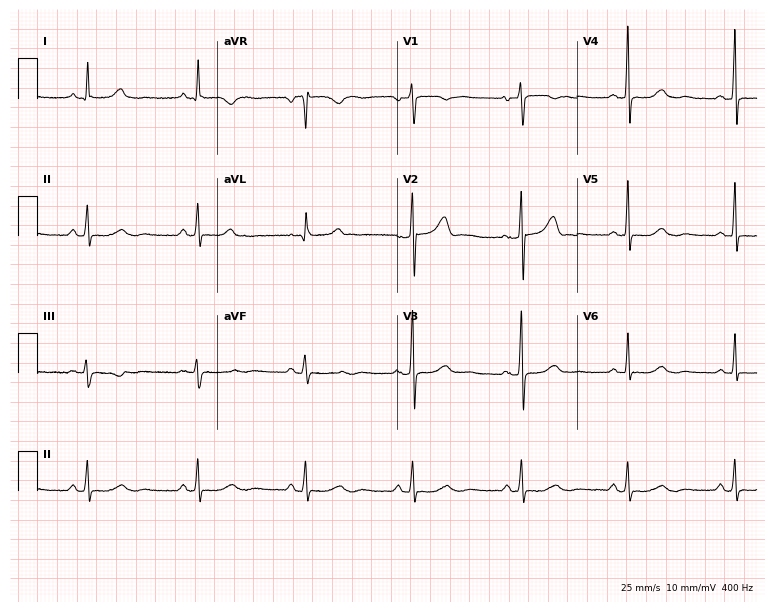
12-lead ECG (7.3-second recording at 400 Hz) from a female, 64 years old. Labelled as a normal ECG.